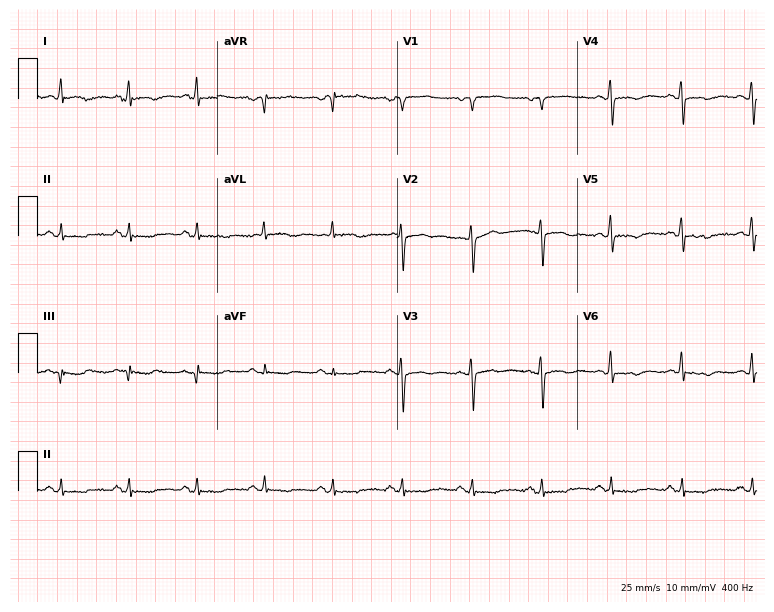
Standard 12-lead ECG recorded from a male, 60 years old. None of these six findings is recorded: first-degree AV block, right bundle branch block, left bundle branch block, sinus bradycardia, atrial fibrillation, sinus tachycardia.